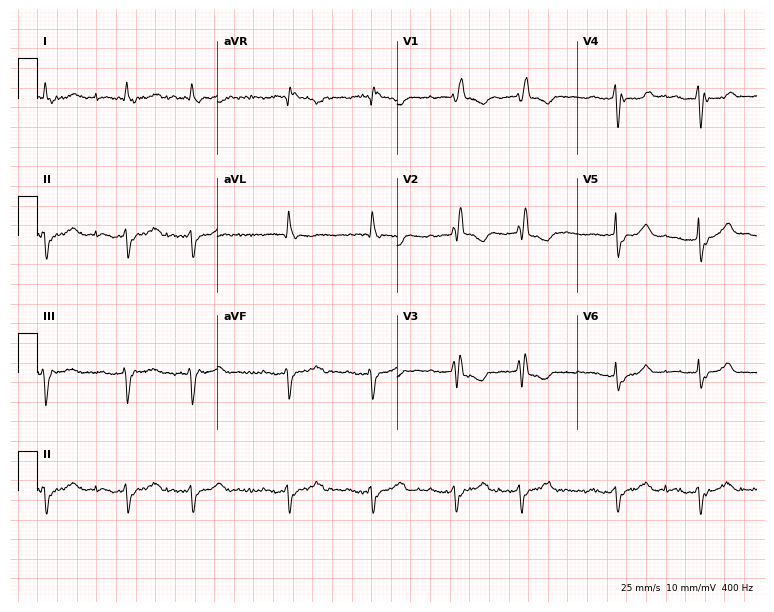
Resting 12-lead electrocardiogram. Patient: a 77-year-old female. The tracing shows first-degree AV block, right bundle branch block.